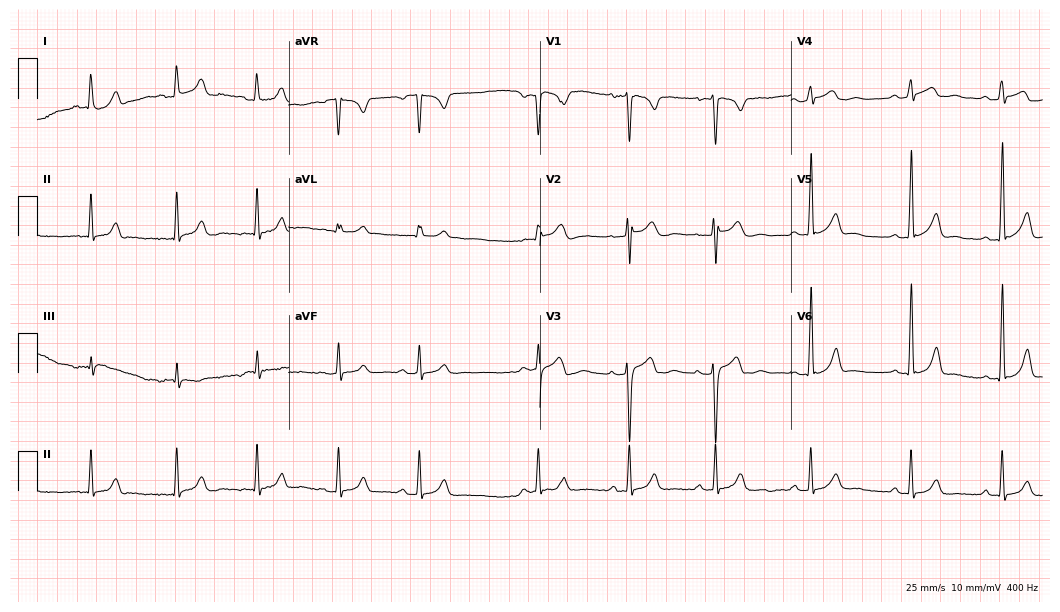
Electrocardiogram, a male patient, 23 years old. Overall reading on record: normal ECG.